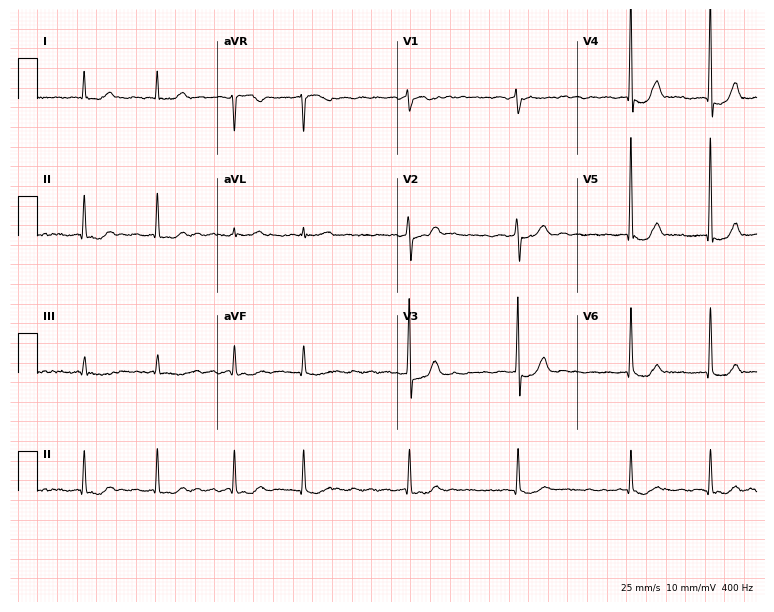
Standard 12-lead ECG recorded from a 79-year-old woman (7.3-second recording at 400 Hz). The tracing shows atrial fibrillation.